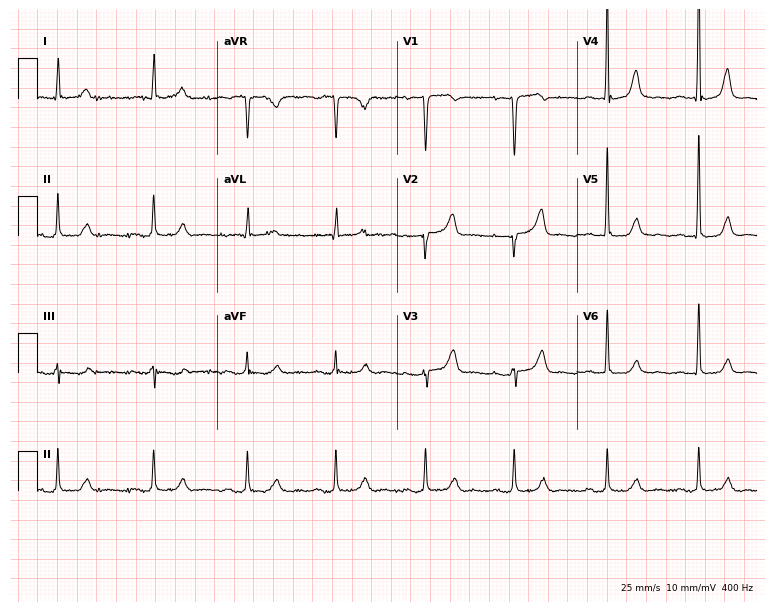
Electrocardiogram, a 77-year-old female. Of the six screened findings (first-degree AV block, right bundle branch block, left bundle branch block, sinus bradycardia, atrial fibrillation, sinus tachycardia), none is recorded.